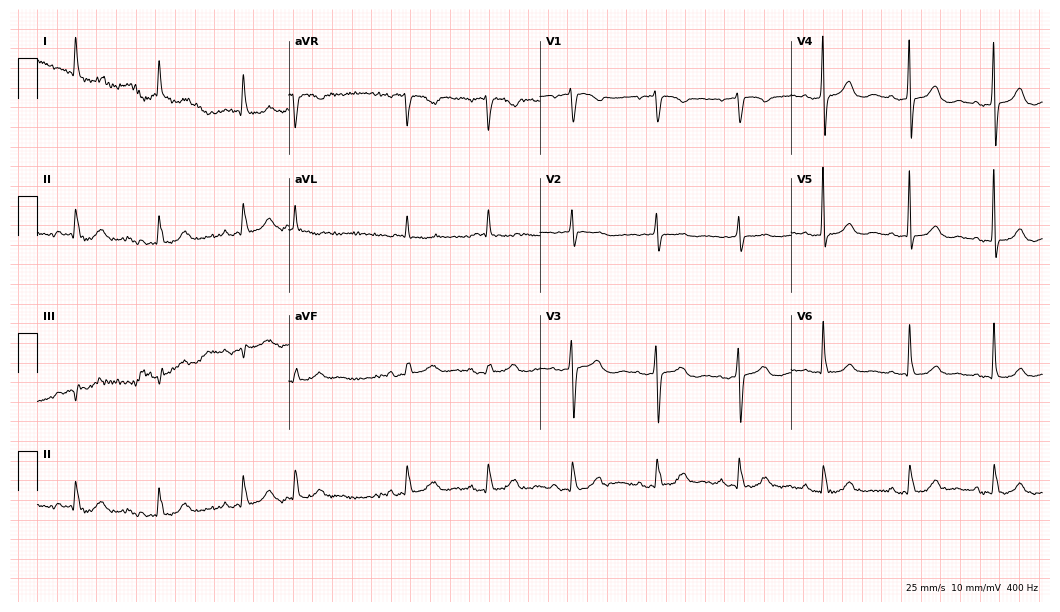
Electrocardiogram (10.2-second recording at 400 Hz), a female patient, 80 years old. Of the six screened findings (first-degree AV block, right bundle branch block, left bundle branch block, sinus bradycardia, atrial fibrillation, sinus tachycardia), none is recorded. Findings outside these six are not listed.